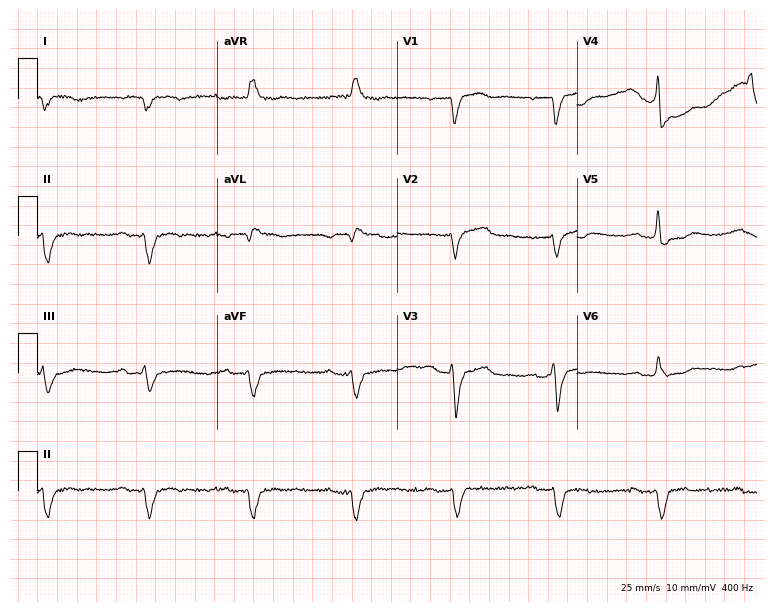
Standard 12-lead ECG recorded from a male patient, 81 years old (7.3-second recording at 400 Hz). None of these six findings is recorded: first-degree AV block, right bundle branch block, left bundle branch block, sinus bradycardia, atrial fibrillation, sinus tachycardia. Findings outside these six are not listed.